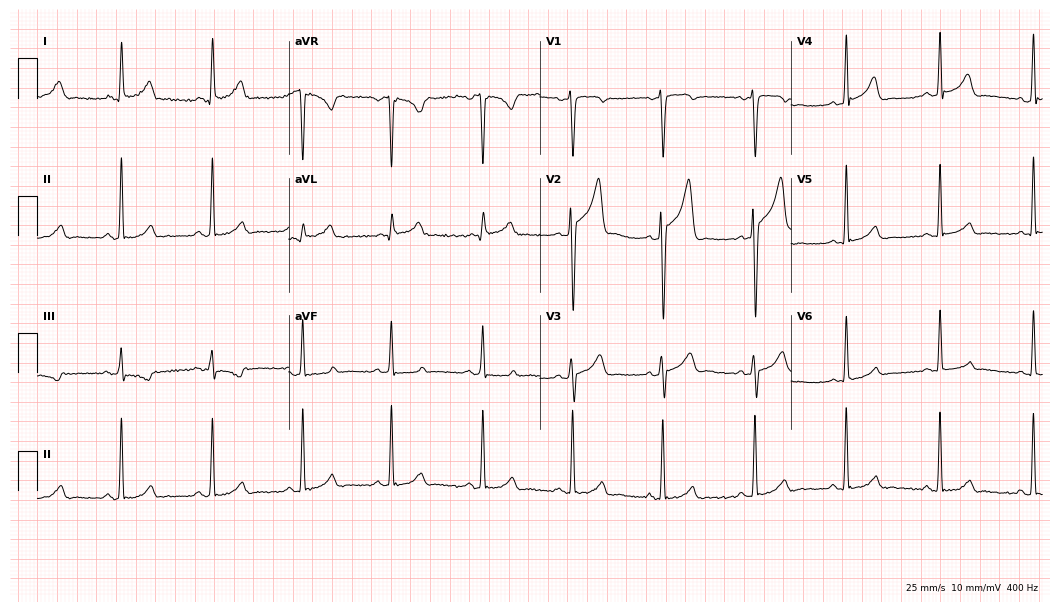
Standard 12-lead ECG recorded from a man, 54 years old (10.2-second recording at 400 Hz). Read as a normal ECG.